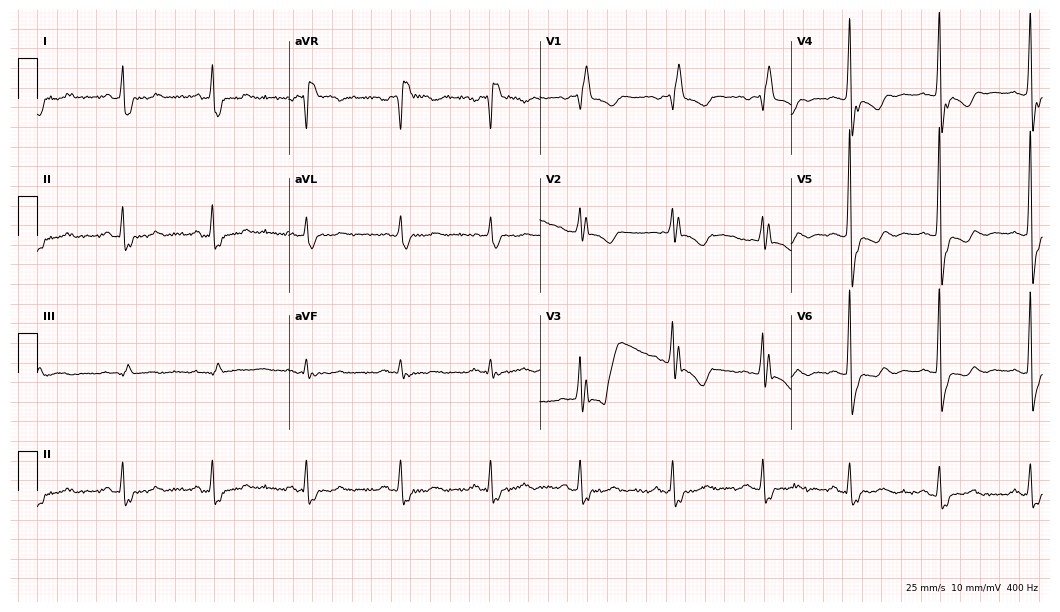
Standard 12-lead ECG recorded from a 66-year-old female. The tracing shows right bundle branch block.